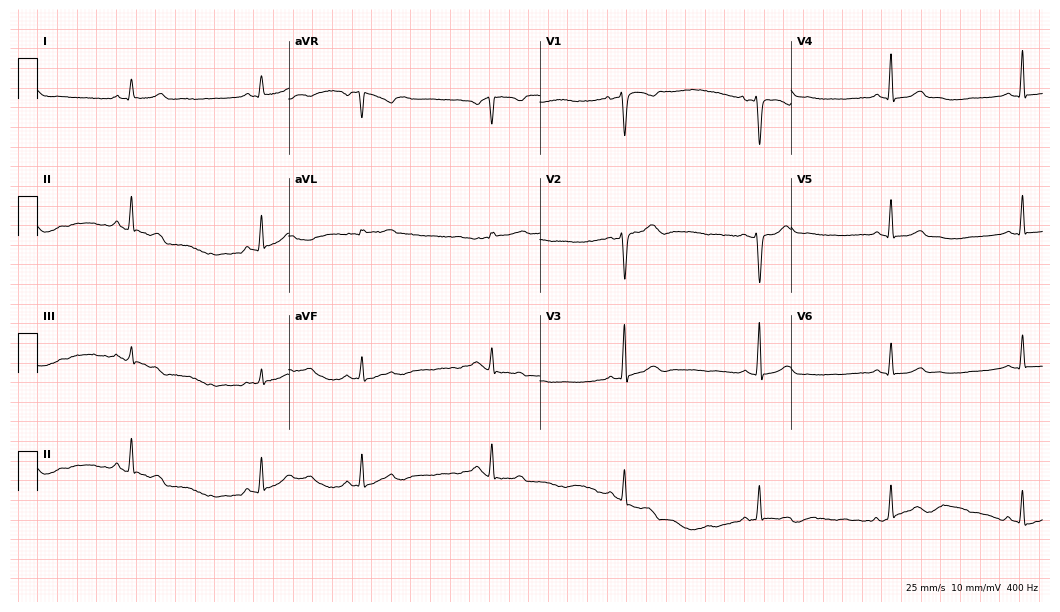
Resting 12-lead electrocardiogram. Patient: a 25-year-old woman. Read as a normal ECG.